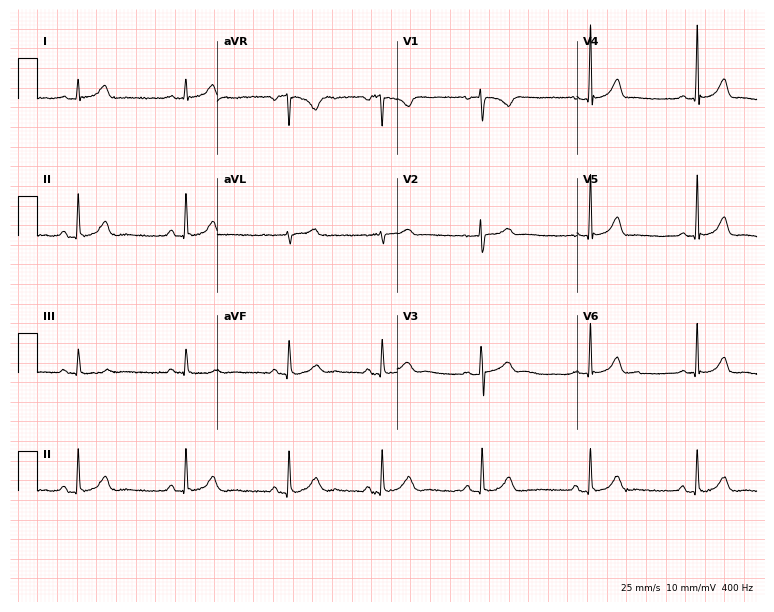
Electrocardiogram, a 20-year-old woman. Overall reading on record: normal ECG.